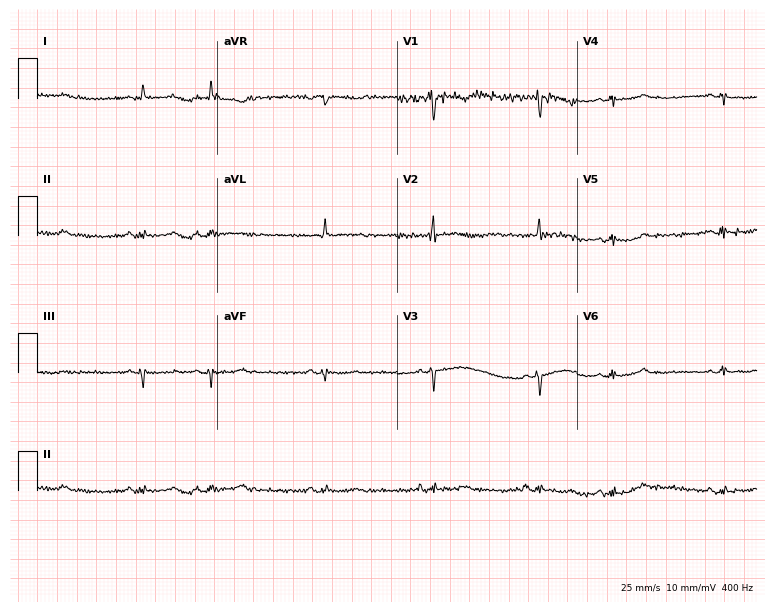
Resting 12-lead electrocardiogram. Patient: a male, 83 years old. None of these six findings is recorded: first-degree AV block, right bundle branch block, left bundle branch block, sinus bradycardia, atrial fibrillation, sinus tachycardia.